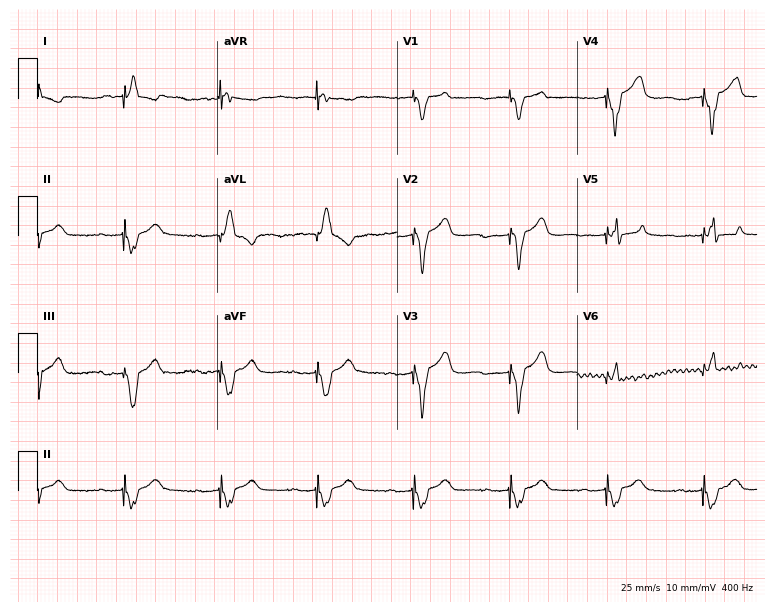
ECG (7.3-second recording at 400 Hz) — an 81-year-old female patient. Screened for six findings — first-degree AV block, right bundle branch block, left bundle branch block, sinus bradycardia, atrial fibrillation, sinus tachycardia — none is recorded.